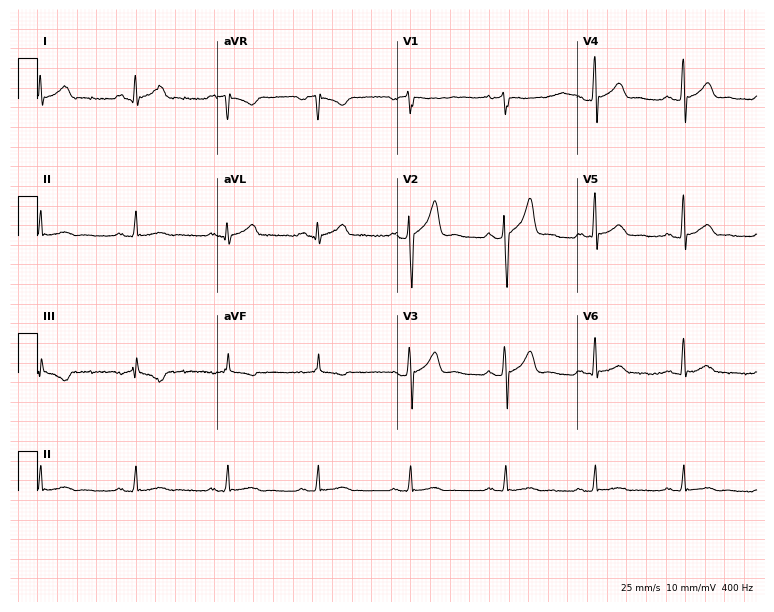
12-lead ECG (7.3-second recording at 400 Hz) from a 30-year-old male patient. Labelled as a normal ECG.